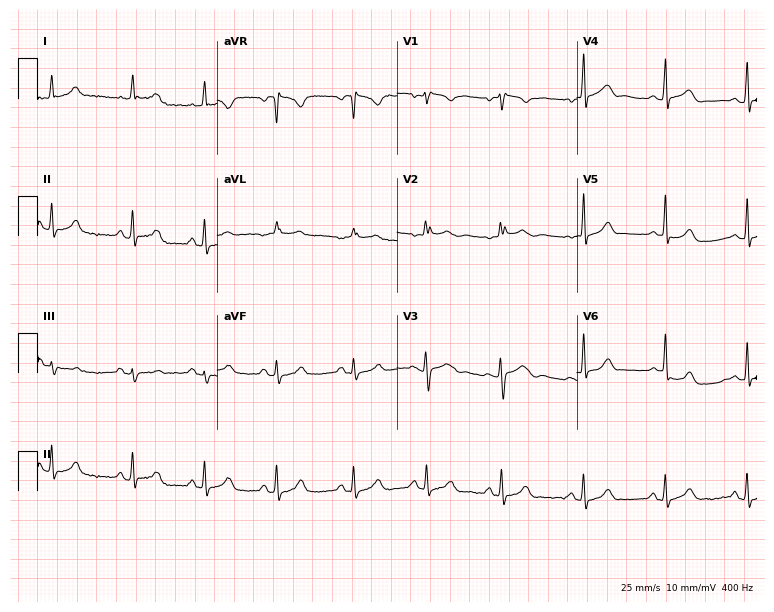
Standard 12-lead ECG recorded from a woman, 26 years old (7.3-second recording at 400 Hz). None of these six findings is recorded: first-degree AV block, right bundle branch block, left bundle branch block, sinus bradycardia, atrial fibrillation, sinus tachycardia.